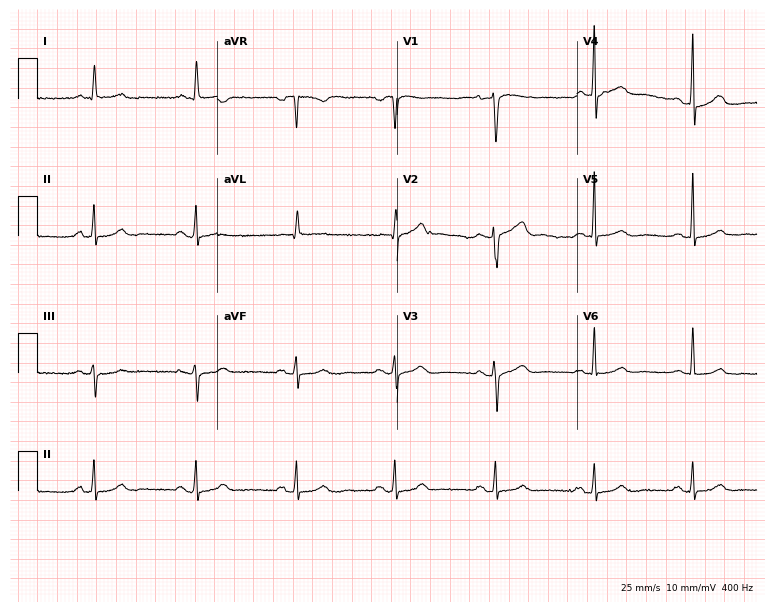
ECG — a woman, 71 years old. Screened for six findings — first-degree AV block, right bundle branch block, left bundle branch block, sinus bradycardia, atrial fibrillation, sinus tachycardia — none is recorded. Other findings, if any, are not listed.